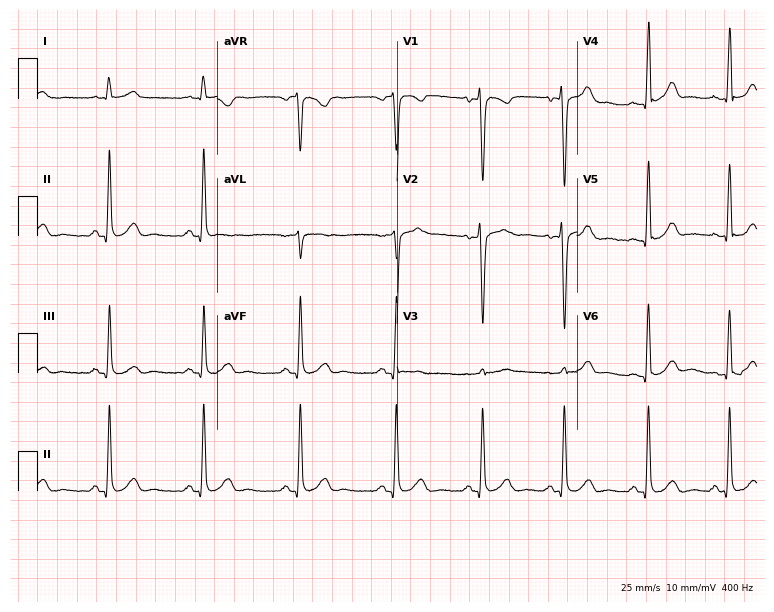
12-lead ECG from a 28-year-old man. No first-degree AV block, right bundle branch block, left bundle branch block, sinus bradycardia, atrial fibrillation or sinus tachycardia recorded for this tracing. Other findings, if any, are not listed.